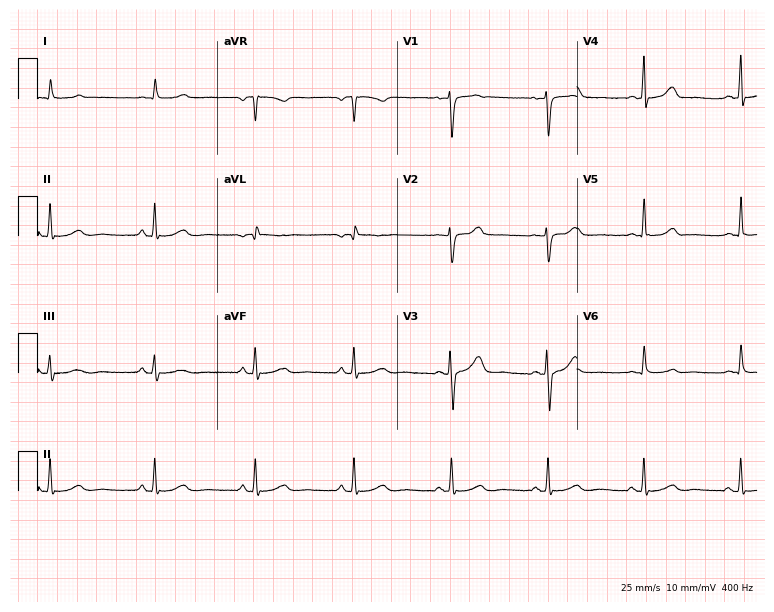
Standard 12-lead ECG recorded from a 47-year-old female (7.3-second recording at 400 Hz). Read as a normal ECG.